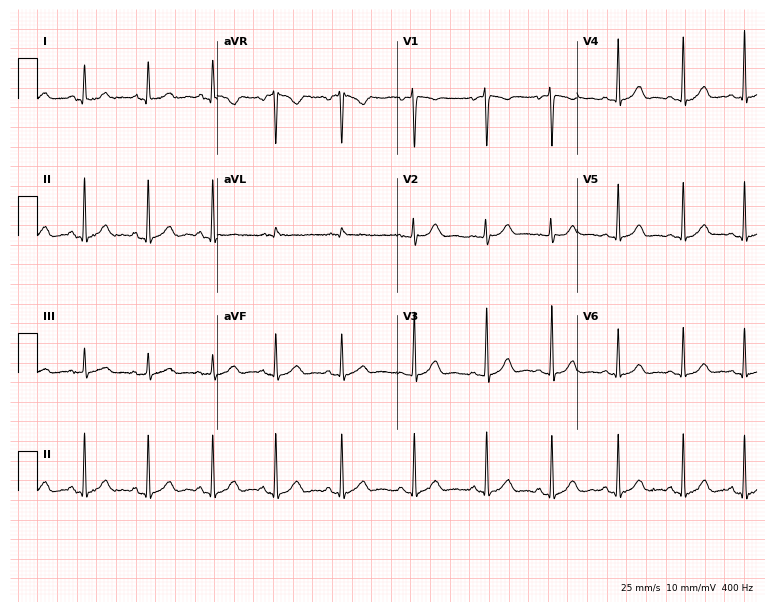
Electrocardiogram (7.3-second recording at 400 Hz), a female patient, 18 years old. Overall reading on record: normal ECG.